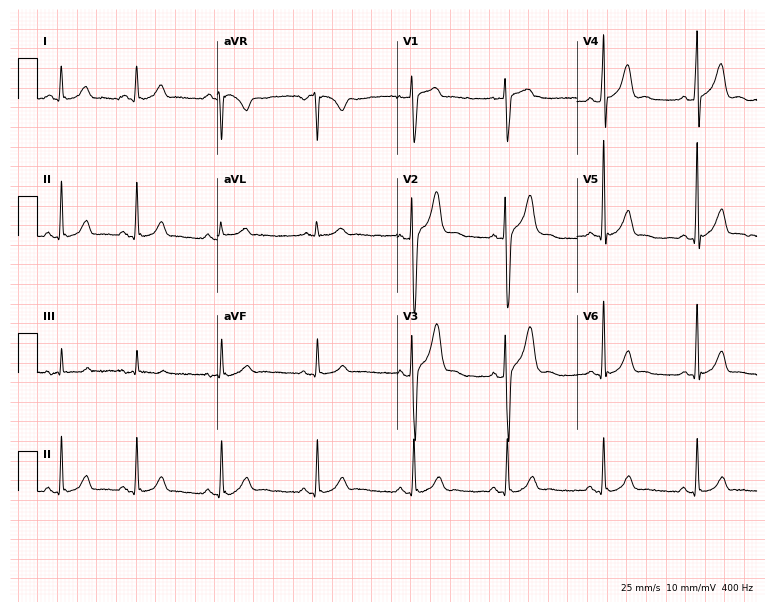
ECG (7.3-second recording at 400 Hz) — a male patient, 36 years old. Labelled as a normal ECG.